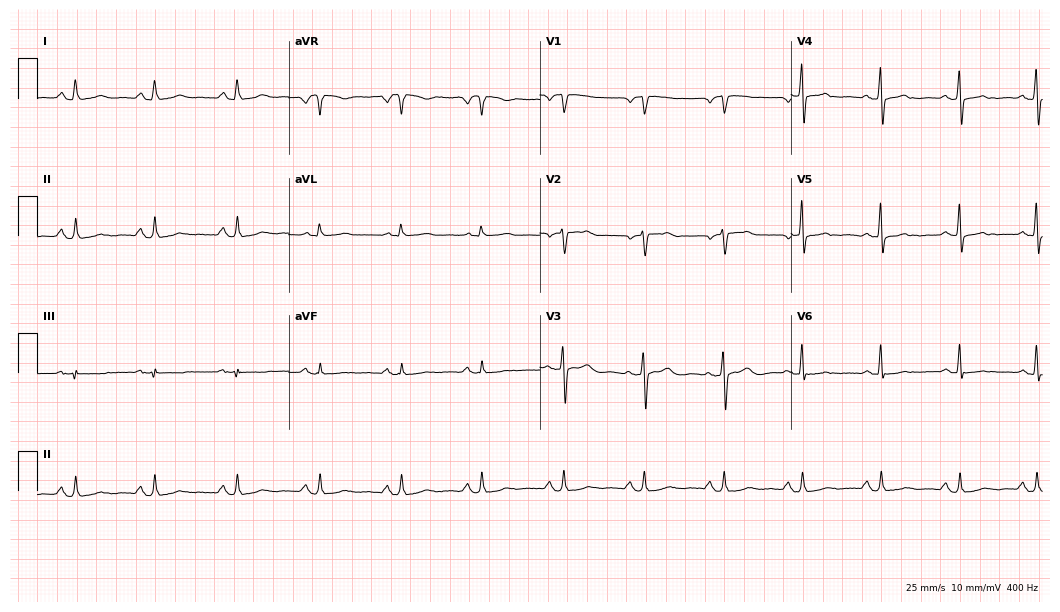
ECG — a 56-year-old woman. Screened for six findings — first-degree AV block, right bundle branch block (RBBB), left bundle branch block (LBBB), sinus bradycardia, atrial fibrillation (AF), sinus tachycardia — none is recorded. Only these six findings were labelled.